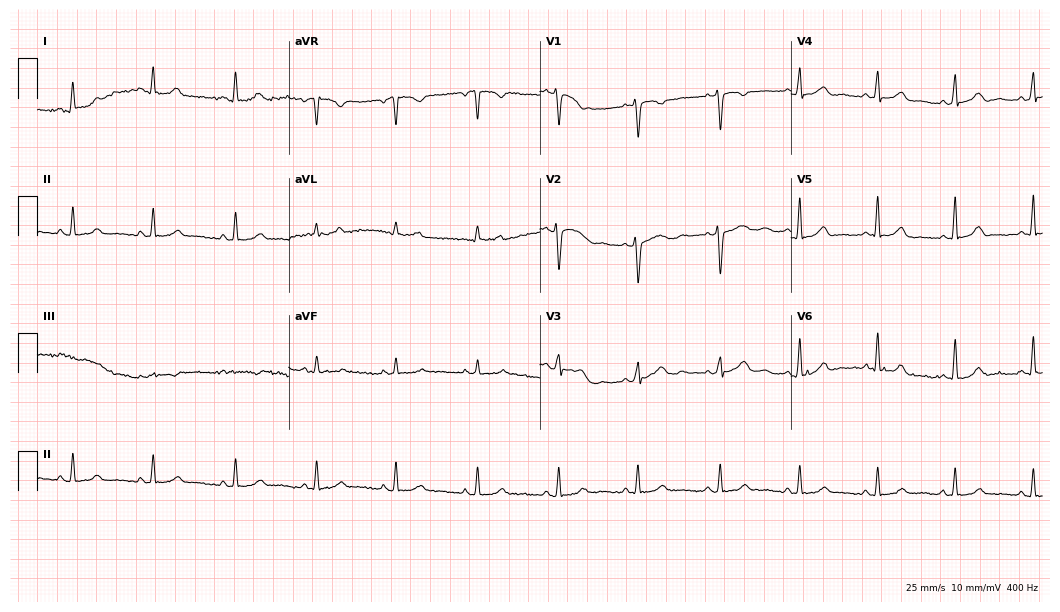
12-lead ECG from a 41-year-old female patient (10.2-second recording at 400 Hz). No first-degree AV block, right bundle branch block, left bundle branch block, sinus bradycardia, atrial fibrillation or sinus tachycardia recorded for this tracing.